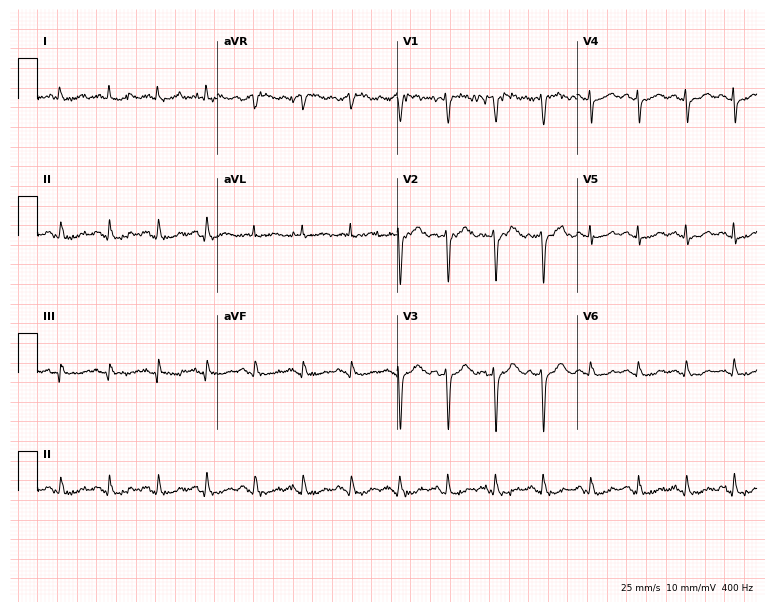
Electrocardiogram, a 55-year-old female patient. Interpretation includes sinus tachycardia (a sinus rate of 100 beats per minute or more).